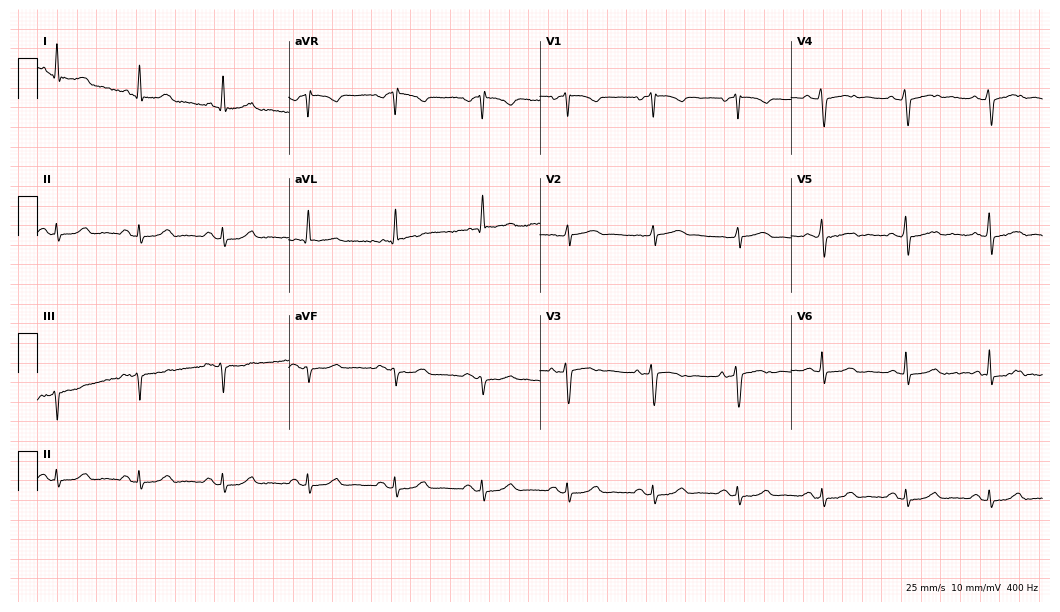
12-lead ECG from a female patient, 64 years old. Labelled as a normal ECG.